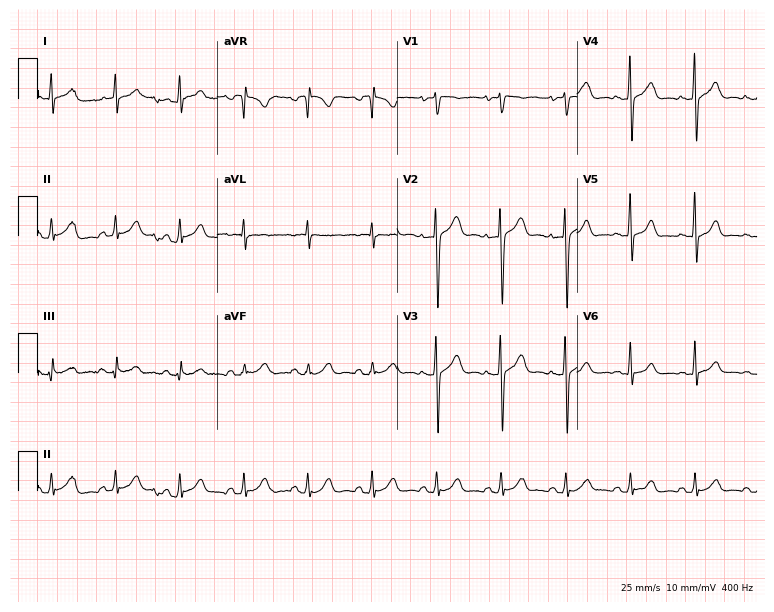
ECG — a male patient, 23 years old. Labelled as a normal ECG.